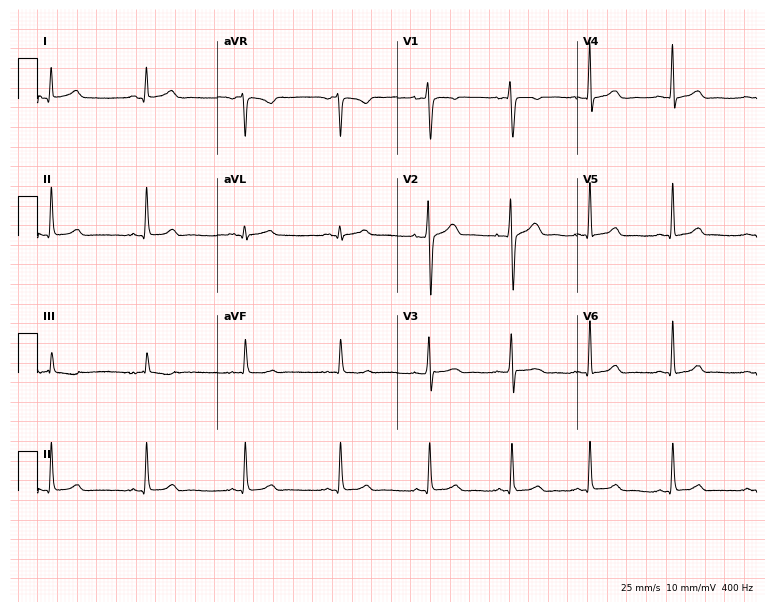
12-lead ECG from a 27-year-old female (7.3-second recording at 400 Hz). Recorded interpretation: within normal limits.